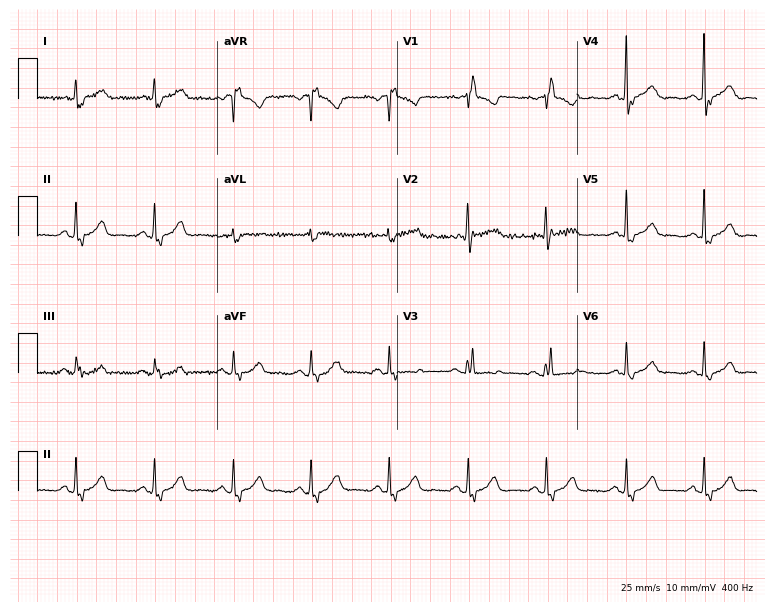
Resting 12-lead electrocardiogram (7.3-second recording at 400 Hz). Patient: a 70-year-old woman. None of these six findings is recorded: first-degree AV block, right bundle branch block, left bundle branch block, sinus bradycardia, atrial fibrillation, sinus tachycardia.